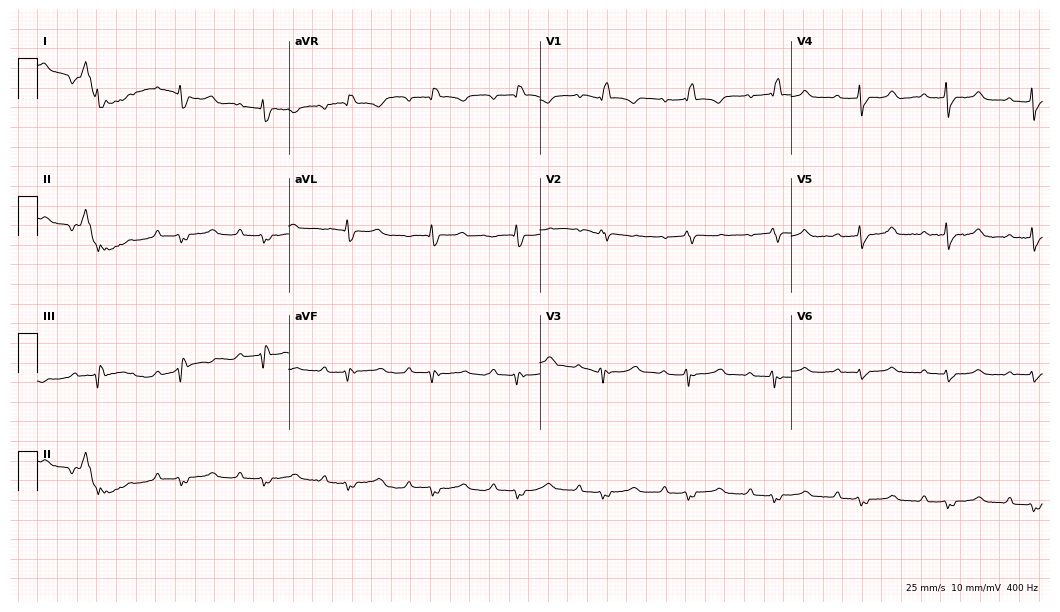
ECG — a 44-year-old female patient. Screened for six findings — first-degree AV block, right bundle branch block, left bundle branch block, sinus bradycardia, atrial fibrillation, sinus tachycardia — none is recorded.